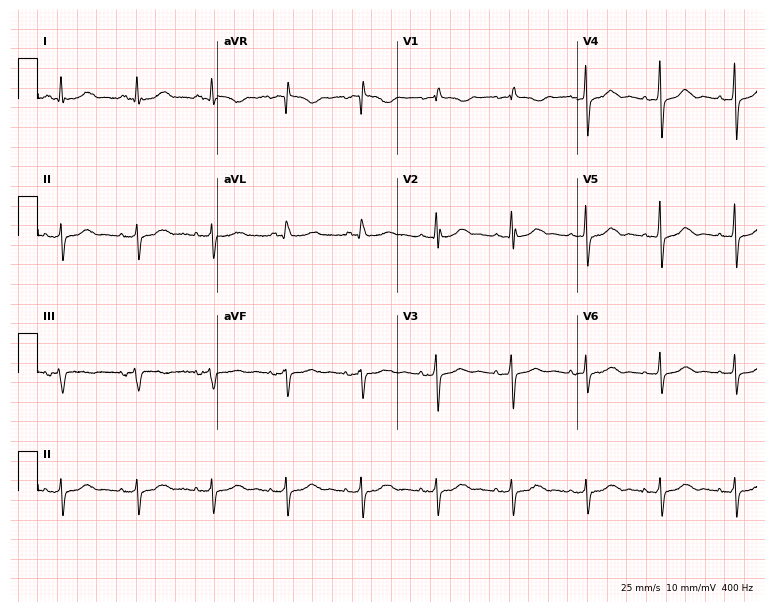
Electrocardiogram (7.3-second recording at 400 Hz), a woman, 76 years old. Of the six screened findings (first-degree AV block, right bundle branch block, left bundle branch block, sinus bradycardia, atrial fibrillation, sinus tachycardia), none is recorded. Only these six findings were labelled.